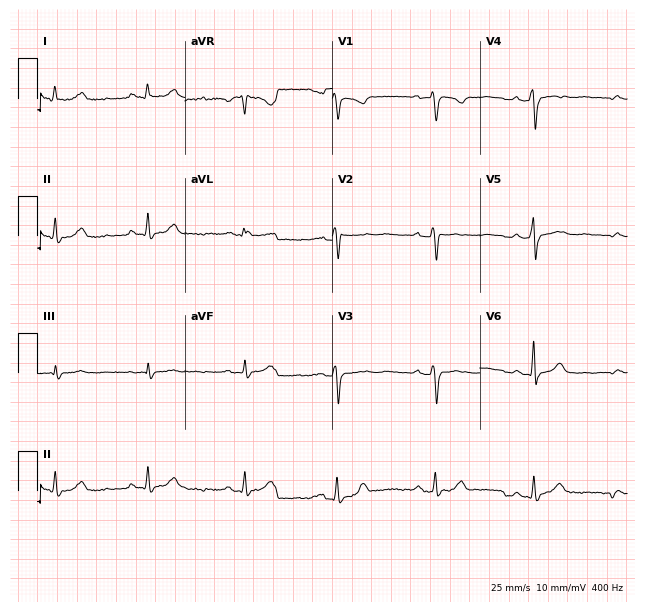
12-lead ECG from a 35-year-old female (6-second recording at 400 Hz). No first-degree AV block, right bundle branch block, left bundle branch block, sinus bradycardia, atrial fibrillation or sinus tachycardia recorded for this tracing.